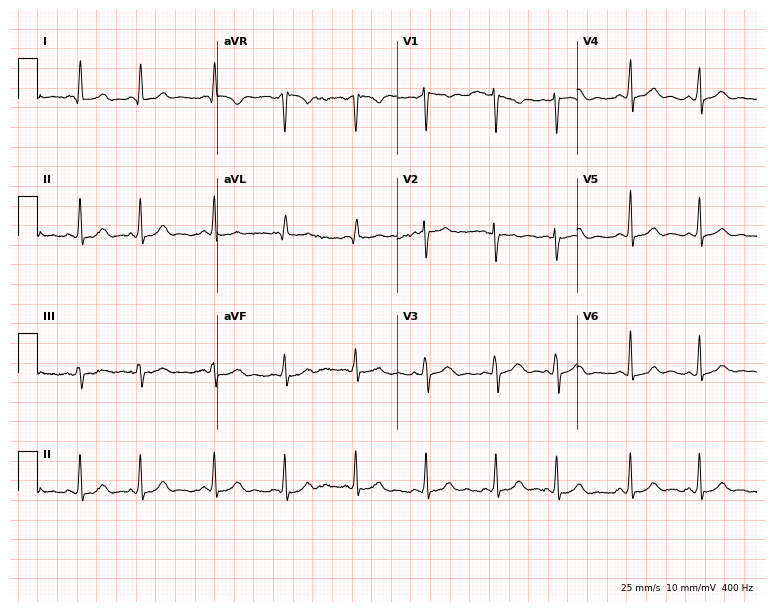
12-lead ECG from a woman, 33 years old (7.3-second recording at 400 Hz). Recorded interpretation: within normal limits.